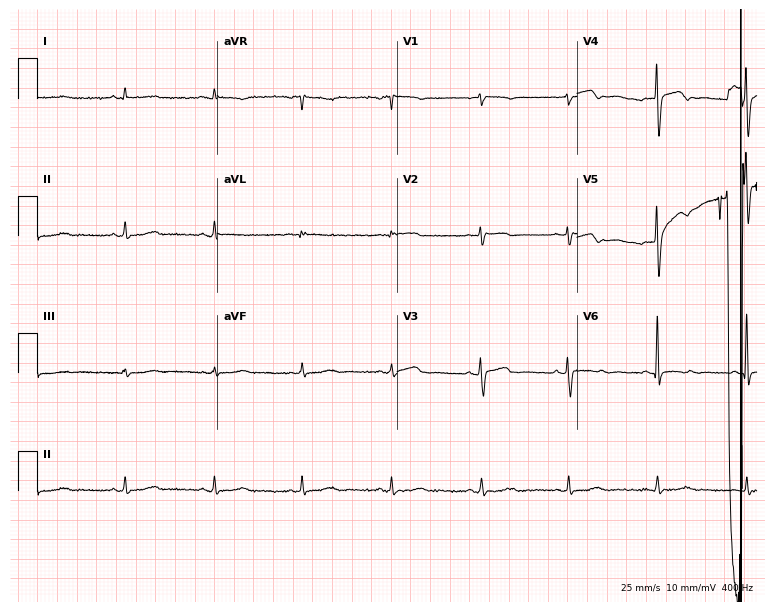
Electrocardiogram (7.3-second recording at 400 Hz), a female patient, 59 years old. Of the six screened findings (first-degree AV block, right bundle branch block (RBBB), left bundle branch block (LBBB), sinus bradycardia, atrial fibrillation (AF), sinus tachycardia), none is recorded. Findings outside these six are not listed.